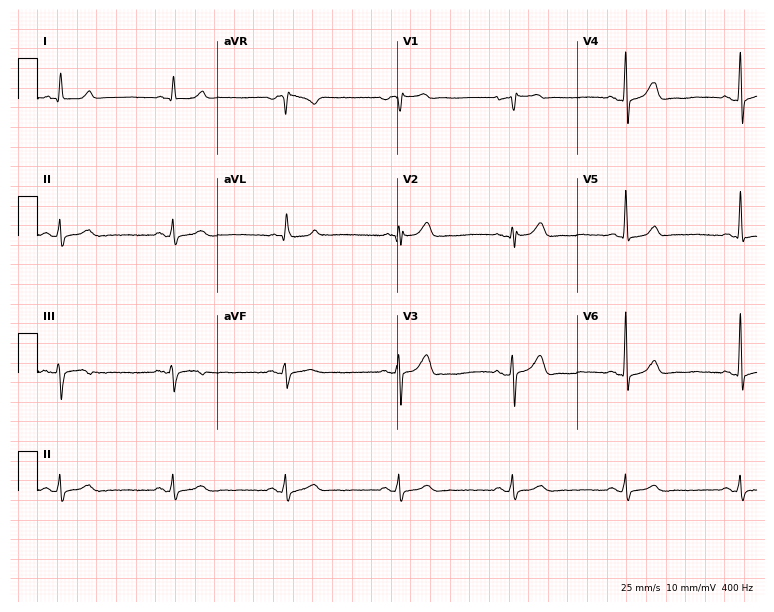
12-lead ECG from a male, 56 years old. Recorded interpretation: within normal limits.